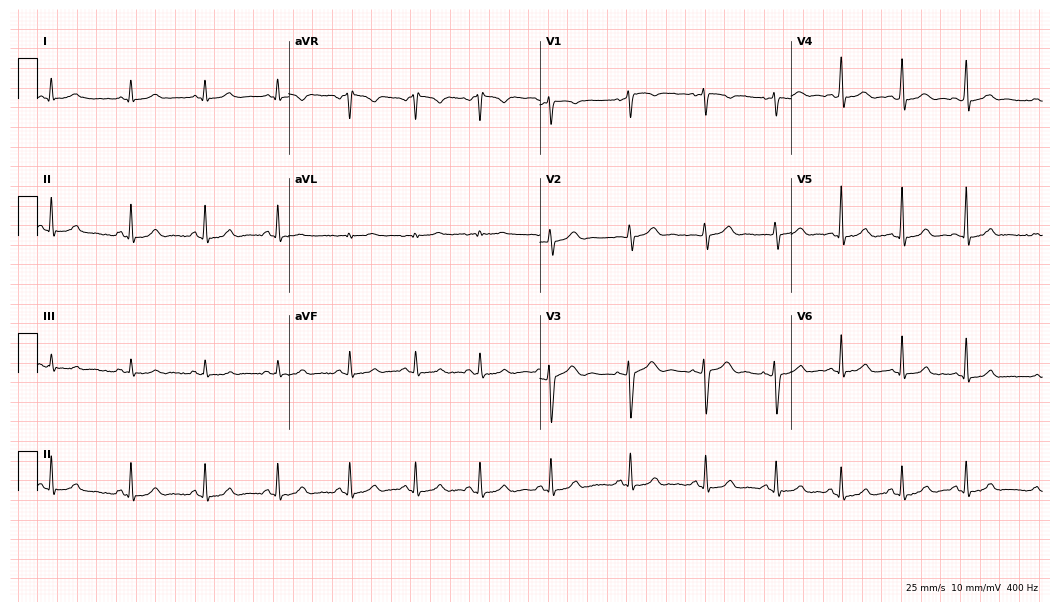
Standard 12-lead ECG recorded from a female patient, 19 years old. Read as a normal ECG.